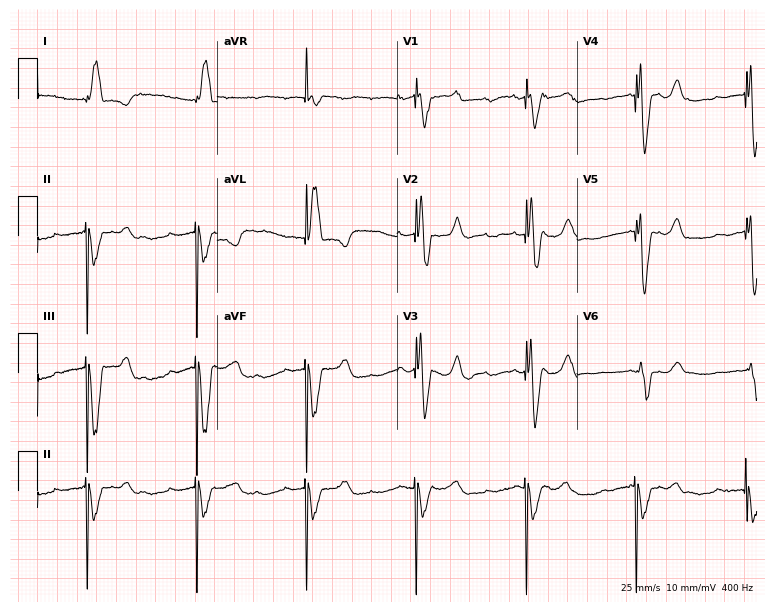
12-lead ECG from a woman, 80 years old. No first-degree AV block, right bundle branch block, left bundle branch block, sinus bradycardia, atrial fibrillation or sinus tachycardia recorded for this tracing.